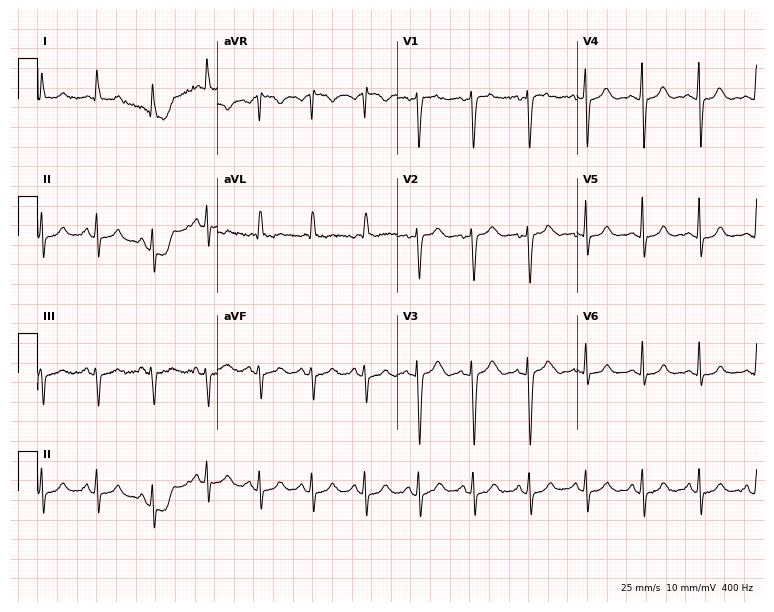
Resting 12-lead electrocardiogram (7.3-second recording at 400 Hz). Patient: a female, 37 years old. The tracing shows sinus tachycardia (a sinus rate of 100 beats per minute or more).